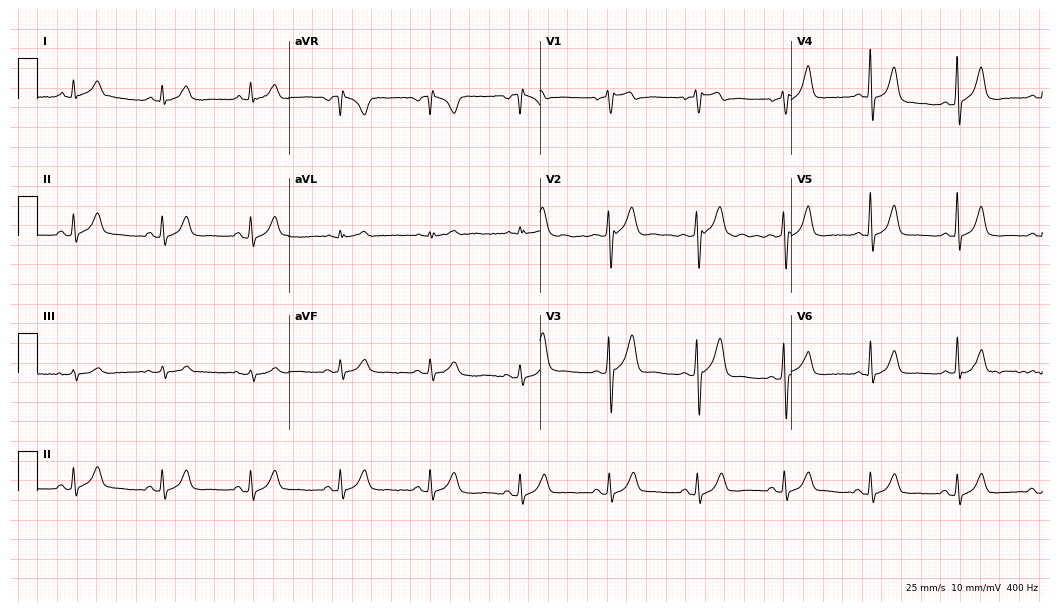
Standard 12-lead ECG recorded from a 64-year-old male. Read as a normal ECG.